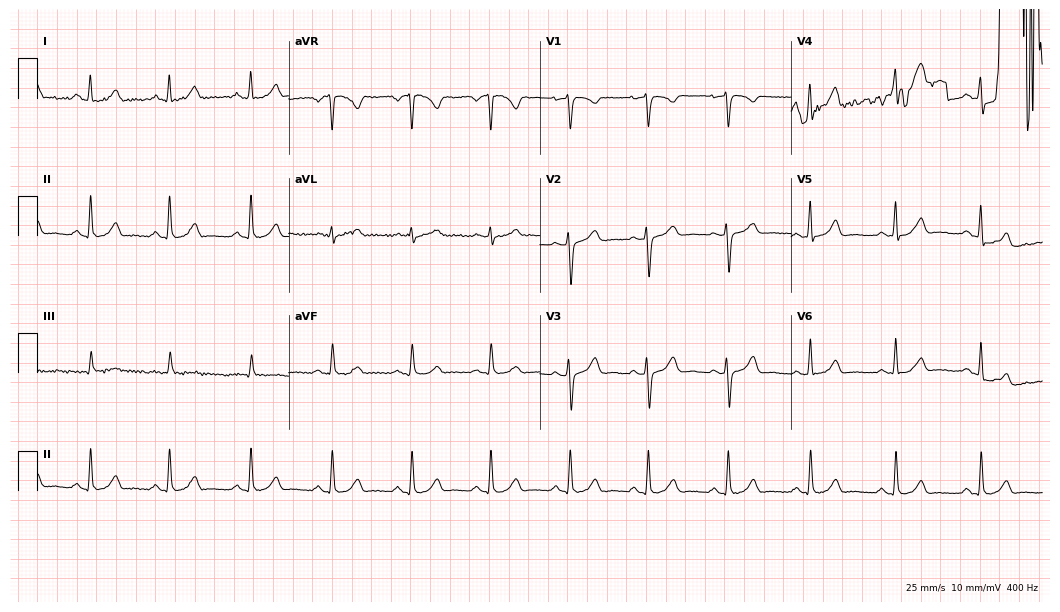
Resting 12-lead electrocardiogram (10.2-second recording at 400 Hz). Patient: a female, 45 years old. None of these six findings is recorded: first-degree AV block, right bundle branch block, left bundle branch block, sinus bradycardia, atrial fibrillation, sinus tachycardia. Other findings, if any, are not listed.